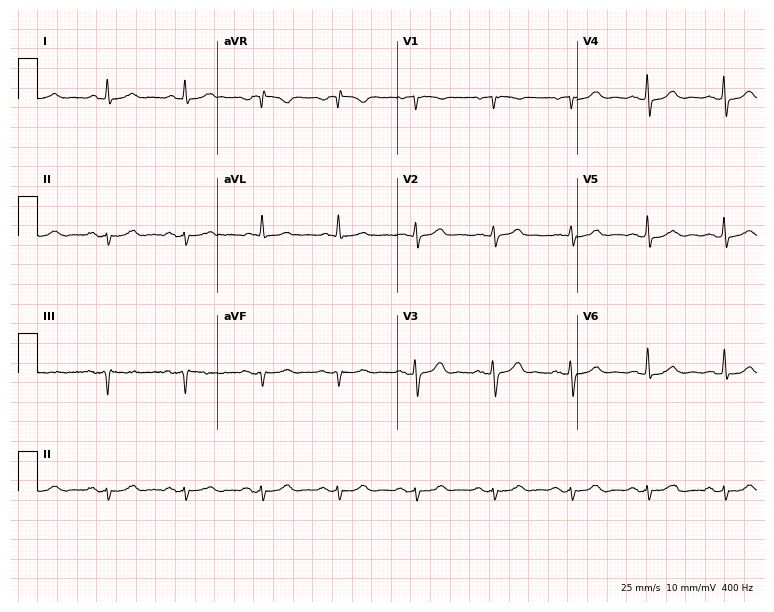
Electrocardiogram (7.3-second recording at 400 Hz), a male patient, 57 years old. Of the six screened findings (first-degree AV block, right bundle branch block (RBBB), left bundle branch block (LBBB), sinus bradycardia, atrial fibrillation (AF), sinus tachycardia), none is recorded. Other findings, if any, are not listed.